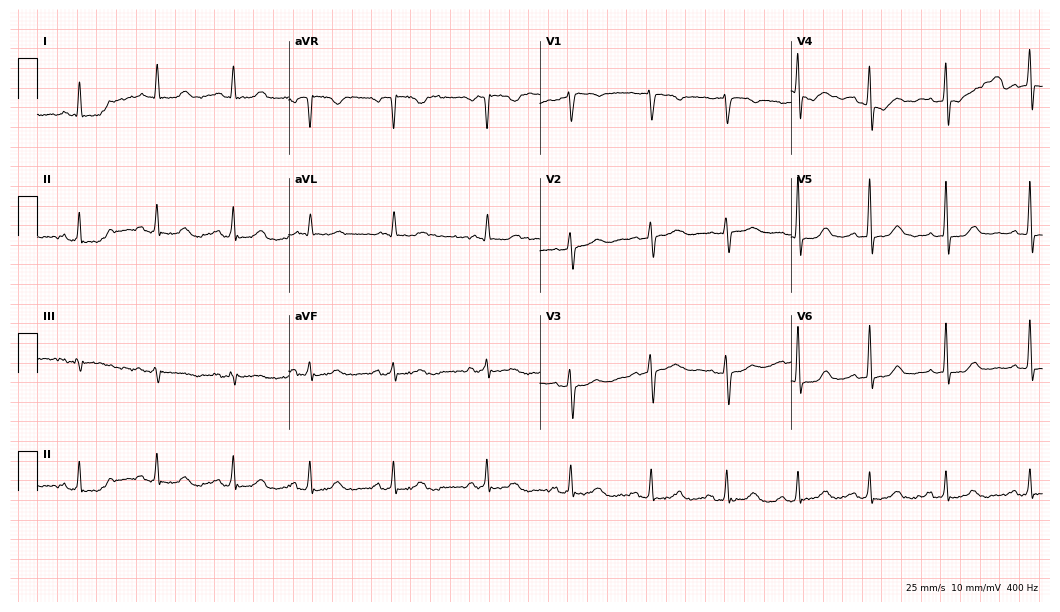
Resting 12-lead electrocardiogram (10.2-second recording at 400 Hz). Patient: a female, 62 years old. Read as a normal ECG.